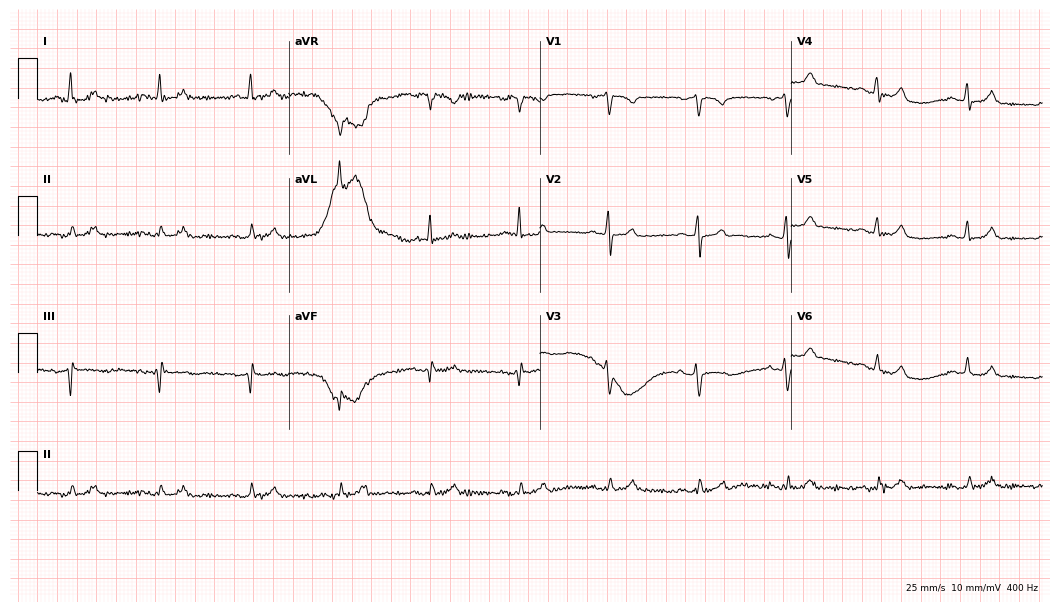
Resting 12-lead electrocardiogram. Patient: a 65-year-old male. Read as a normal ECG.